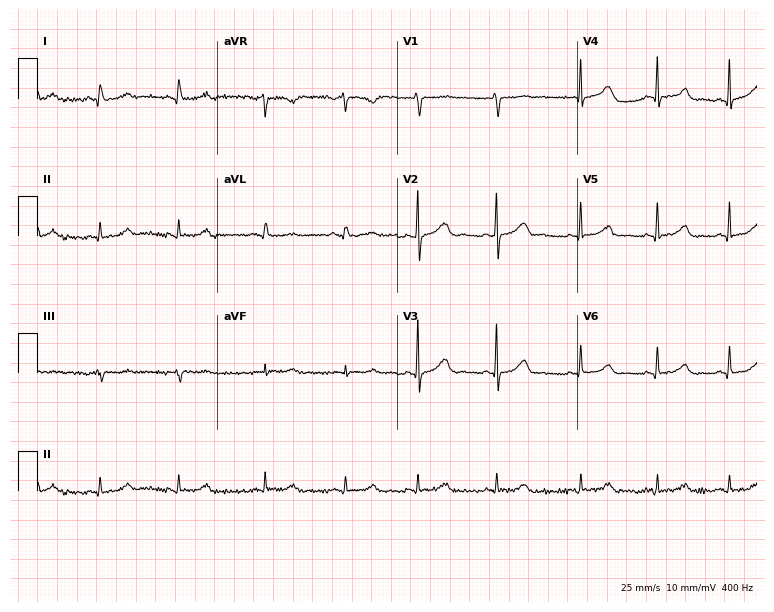
12-lead ECG from a woman, 29 years old. Recorded interpretation: within normal limits.